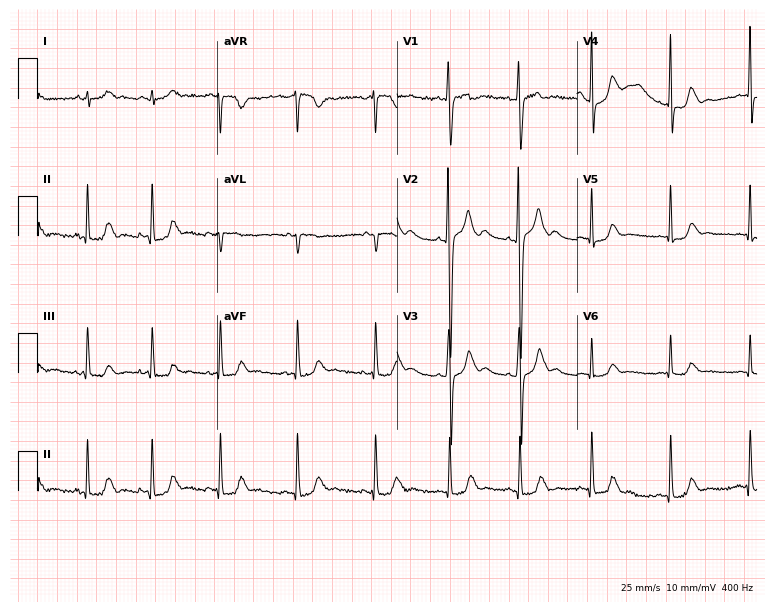
Resting 12-lead electrocardiogram (7.3-second recording at 400 Hz). Patient: a female, 18 years old. Read as a normal ECG.